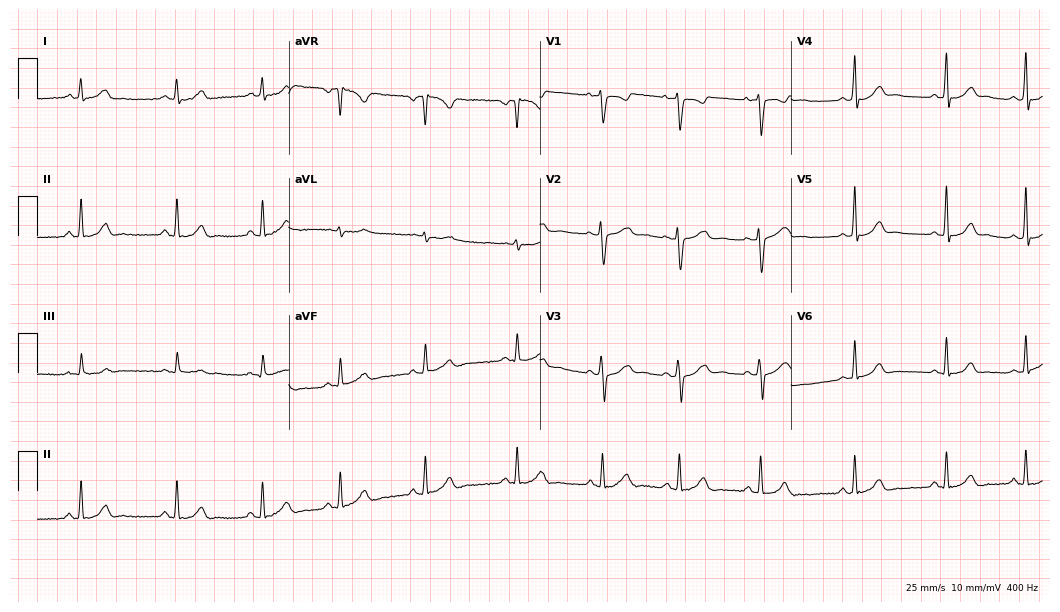
ECG (10.2-second recording at 400 Hz) — a 36-year-old woman. Screened for six findings — first-degree AV block, right bundle branch block, left bundle branch block, sinus bradycardia, atrial fibrillation, sinus tachycardia — none is recorded. Other findings, if any, are not listed.